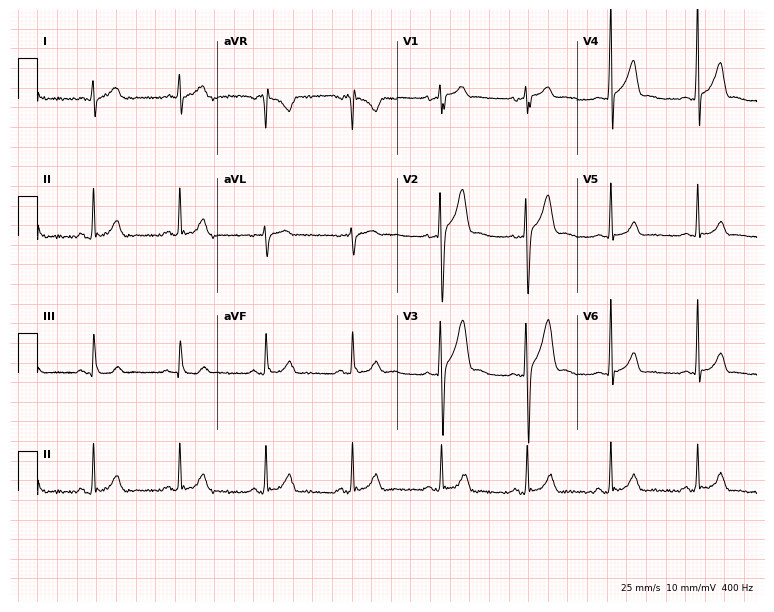
12-lead ECG from a 25-year-old man (7.3-second recording at 400 Hz). Recorded interpretation: within normal limits.